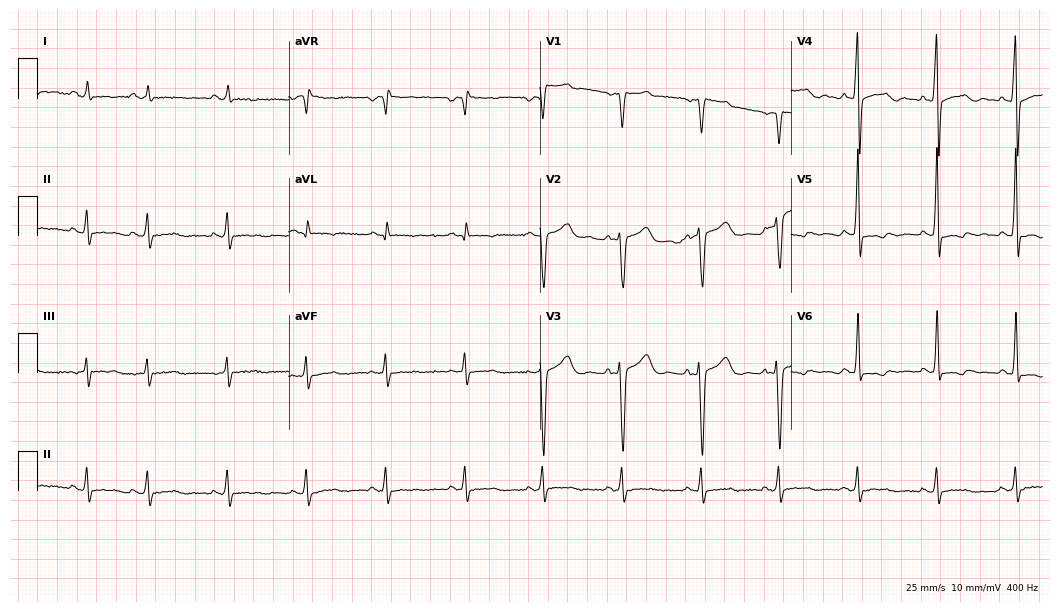
Electrocardiogram (10.2-second recording at 400 Hz), a 70-year-old male patient. Of the six screened findings (first-degree AV block, right bundle branch block, left bundle branch block, sinus bradycardia, atrial fibrillation, sinus tachycardia), none is recorded. Only these six findings were labelled.